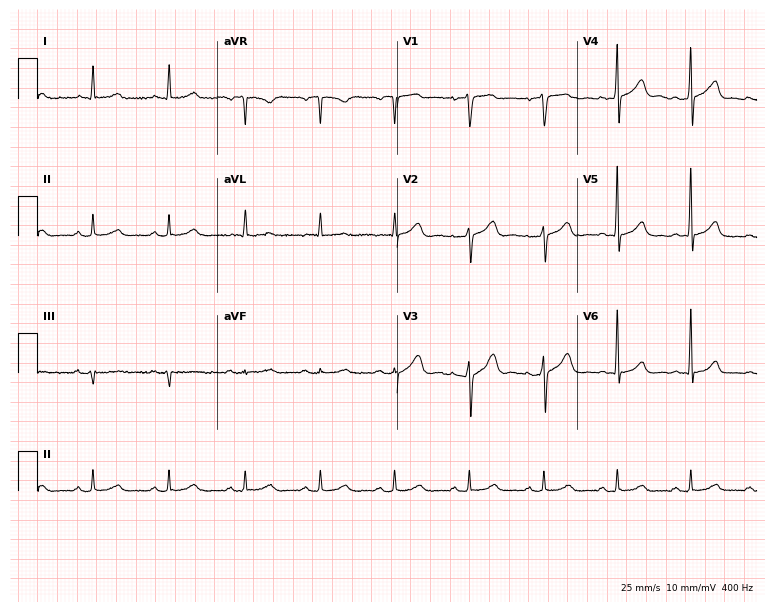
Electrocardiogram (7.3-second recording at 400 Hz), a man, 57 years old. Overall reading on record: normal ECG.